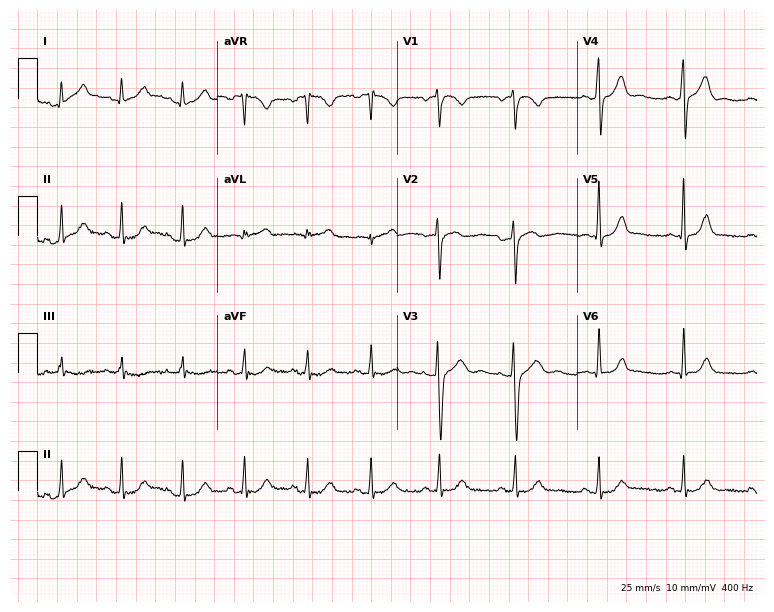
Standard 12-lead ECG recorded from a 50-year-old male patient (7.3-second recording at 400 Hz). None of these six findings is recorded: first-degree AV block, right bundle branch block (RBBB), left bundle branch block (LBBB), sinus bradycardia, atrial fibrillation (AF), sinus tachycardia. Other findings, if any, are not listed.